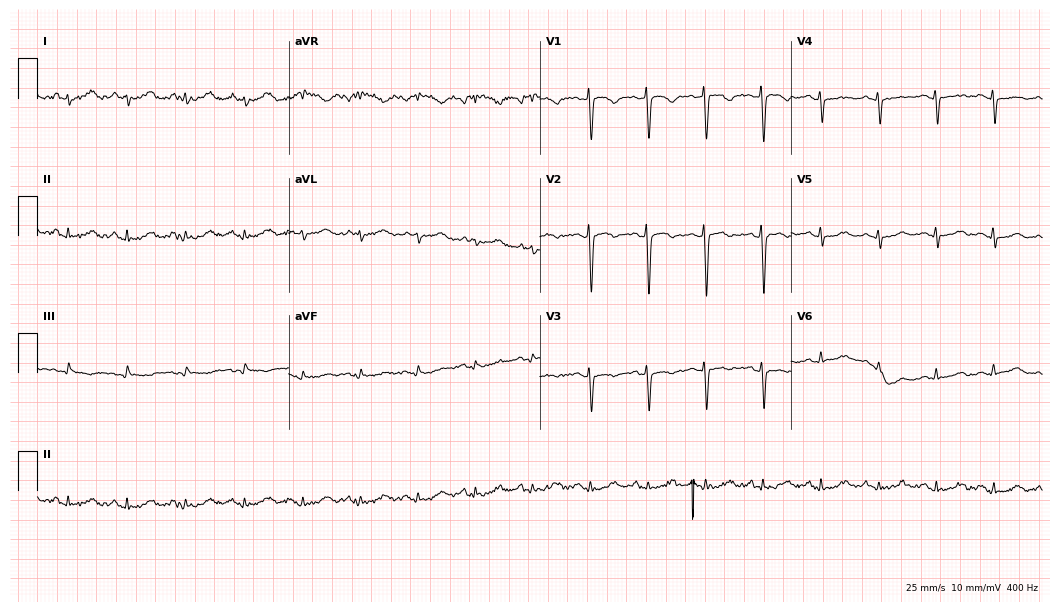
Electrocardiogram (10.2-second recording at 400 Hz), a female, 58 years old. Of the six screened findings (first-degree AV block, right bundle branch block, left bundle branch block, sinus bradycardia, atrial fibrillation, sinus tachycardia), none is recorded. Other findings, if any, are not listed.